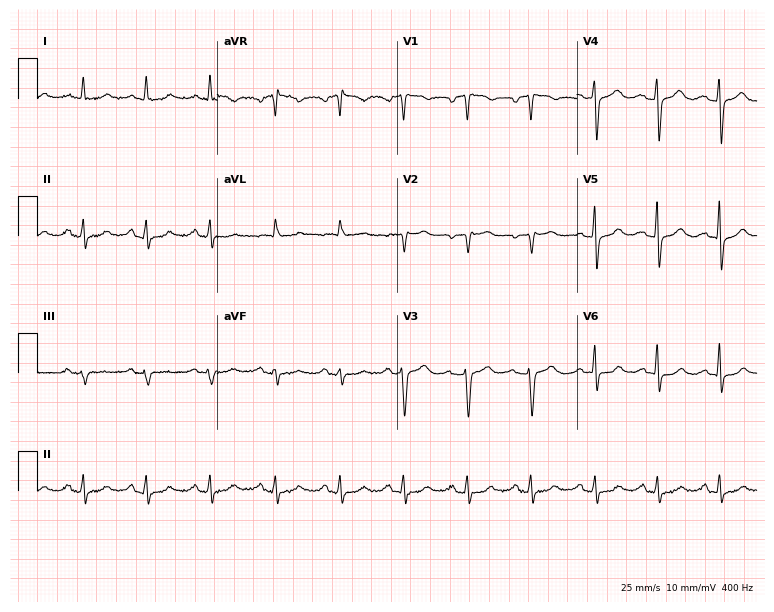
Electrocardiogram (7.3-second recording at 400 Hz), a 54-year-old woman. Of the six screened findings (first-degree AV block, right bundle branch block (RBBB), left bundle branch block (LBBB), sinus bradycardia, atrial fibrillation (AF), sinus tachycardia), none is recorded.